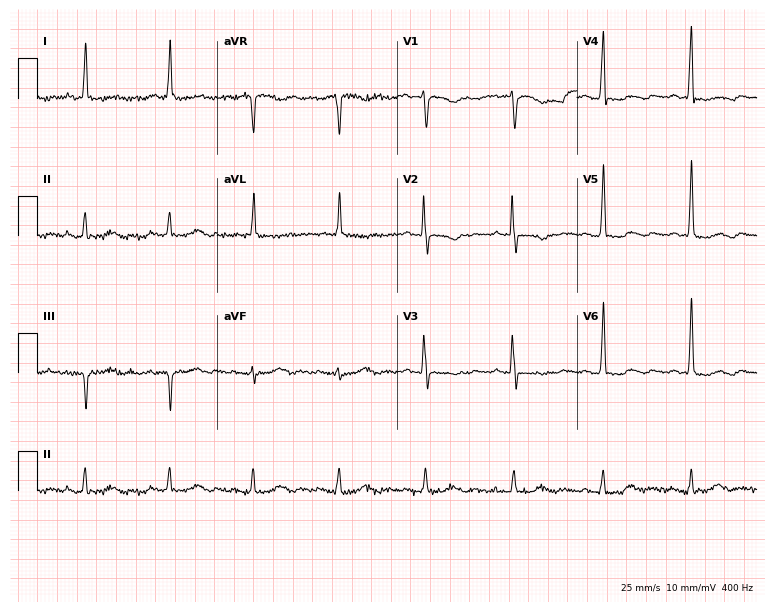
Resting 12-lead electrocardiogram. Patient: a 79-year-old woman. None of these six findings is recorded: first-degree AV block, right bundle branch block, left bundle branch block, sinus bradycardia, atrial fibrillation, sinus tachycardia. Findings outside these six are not listed.